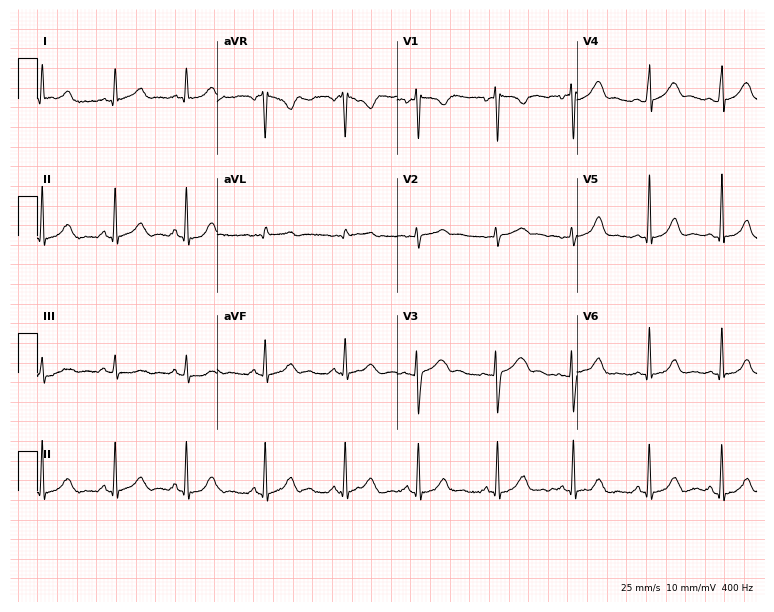
Standard 12-lead ECG recorded from a female patient, 24 years old (7.3-second recording at 400 Hz). Read as a normal ECG.